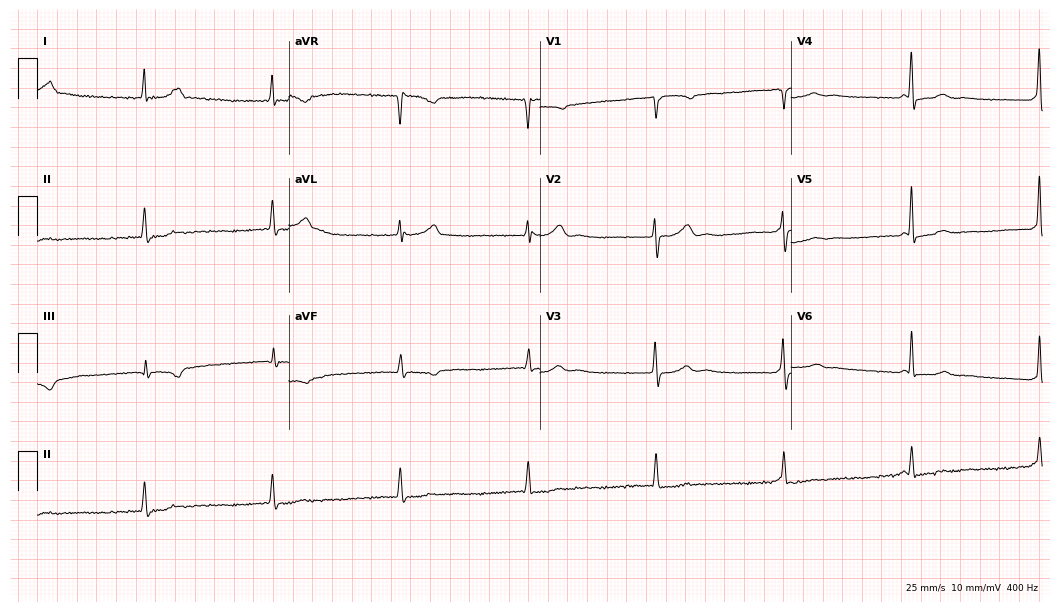
Resting 12-lead electrocardiogram (10.2-second recording at 400 Hz). Patient: a 45-year-old woman. None of these six findings is recorded: first-degree AV block, right bundle branch block, left bundle branch block, sinus bradycardia, atrial fibrillation, sinus tachycardia.